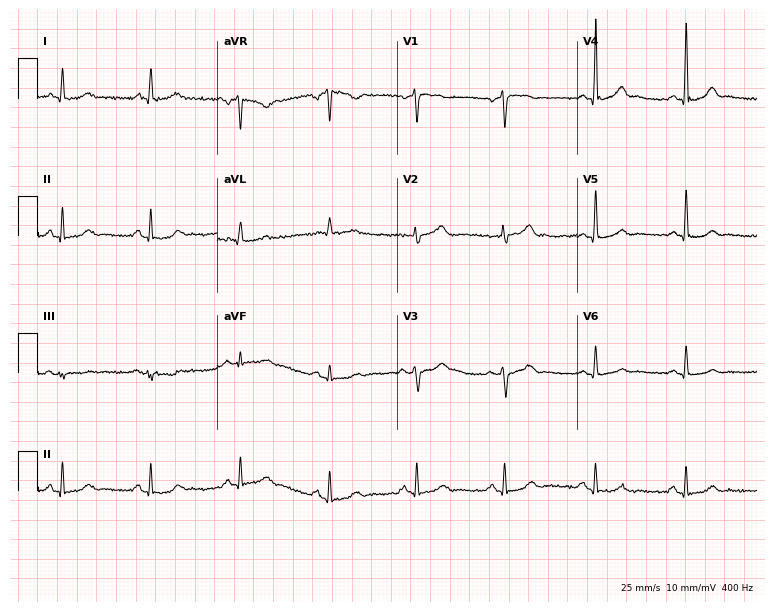
Electrocardiogram (7.3-second recording at 400 Hz), a 44-year-old man. Overall reading on record: normal ECG.